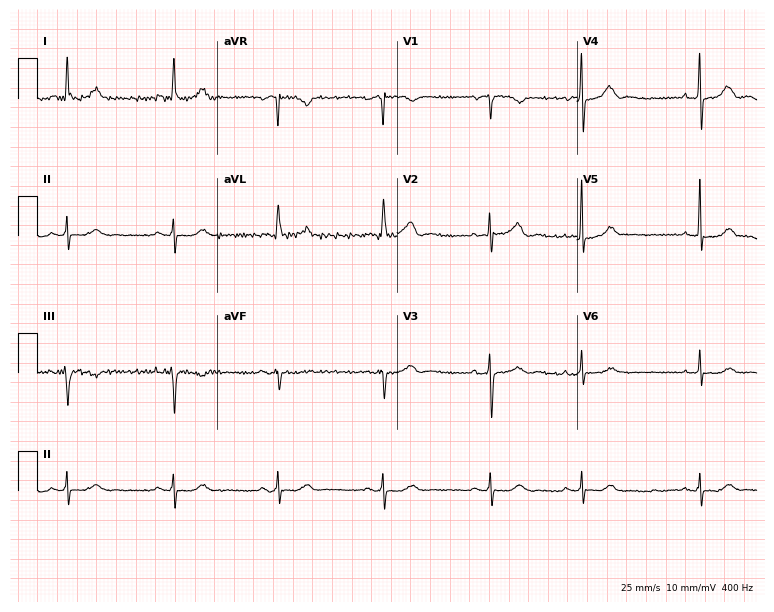
12-lead ECG from a 78-year-old female. Labelled as a normal ECG.